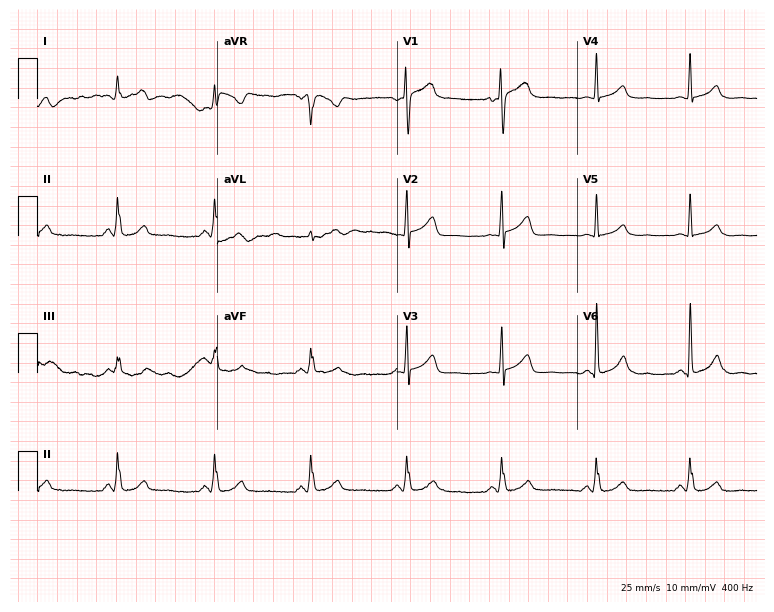
12-lead ECG (7.3-second recording at 400 Hz) from a male patient, 58 years old. Screened for six findings — first-degree AV block, right bundle branch block, left bundle branch block, sinus bradycardia, atrial fibrillation, sinus tachycardia — none is recorded. Only these six findings were labelled.